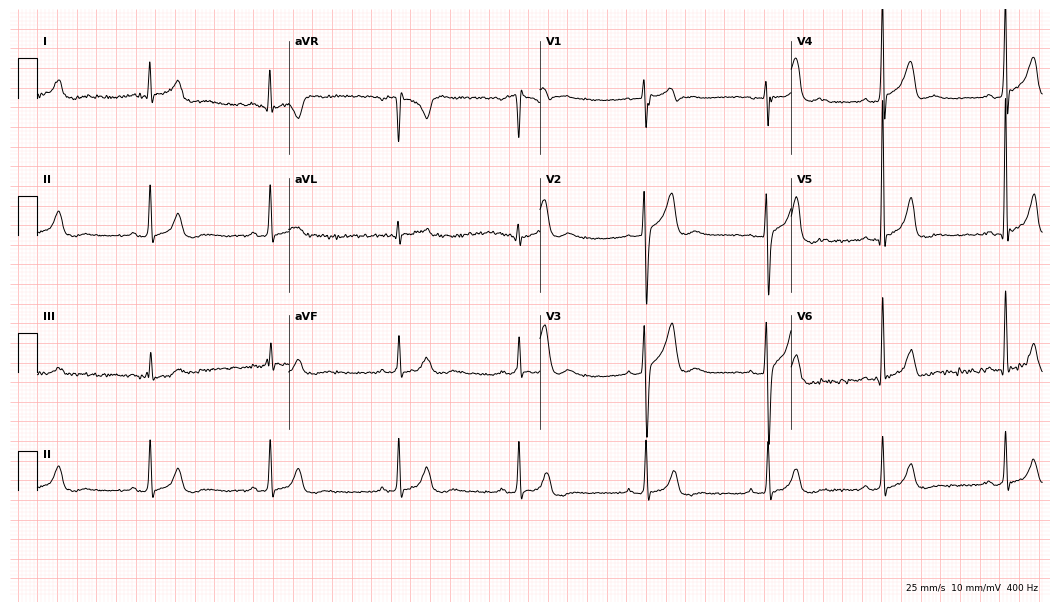
ECG — a 26-year-old male patient. Screened for six findings — first-degree AV block, right bundle branch block, left bundle branch block, sinus bradycardia, atrial fibrillation, sinus tachycardia — none is recorded. Findings outside these six are not listed.